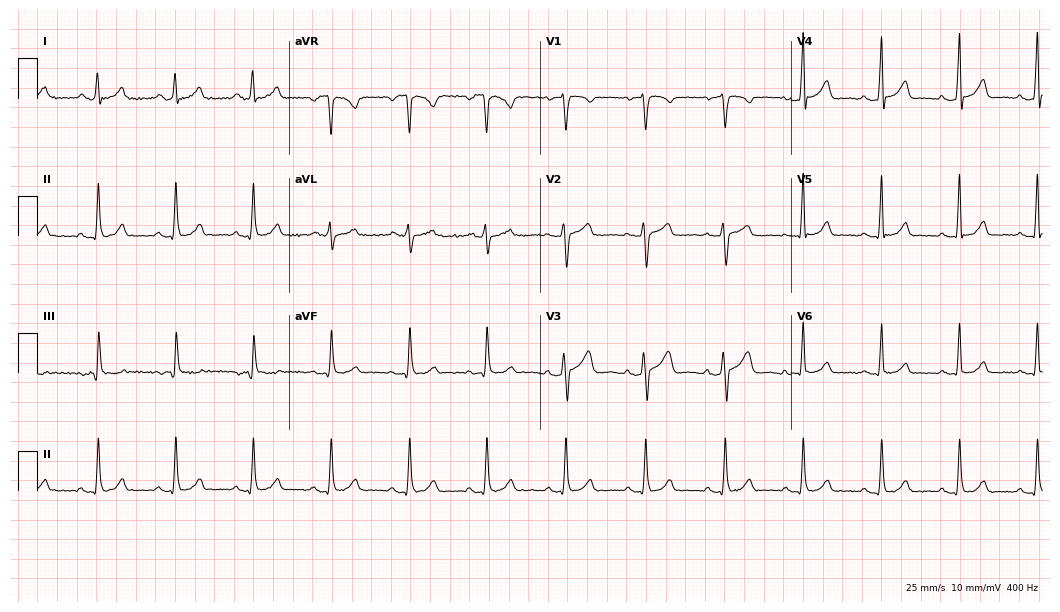
12-lead ECG from a 48-year-old female patient. Labelled as a normal ECG.